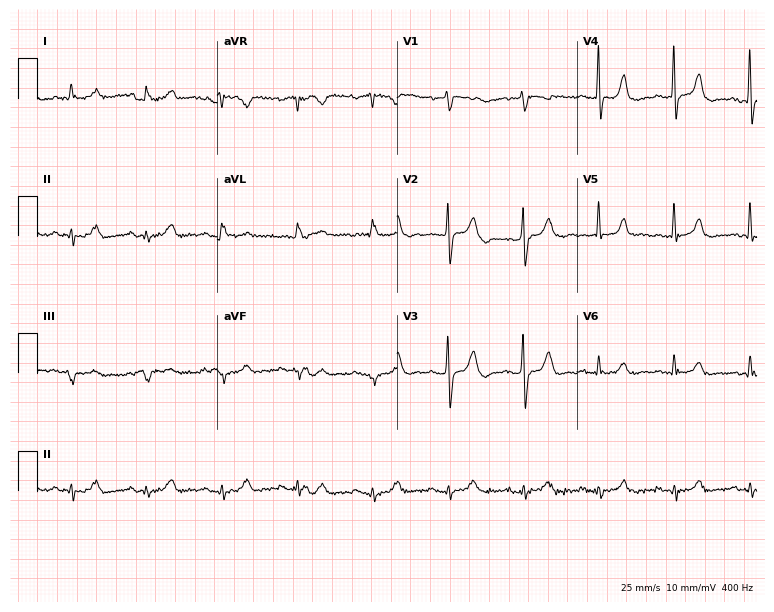
Electrocardiogram, a man, 84 years old. Of the six screened findings (first-degree AV block, right bundle branch block, left bundle branch block, sinus bradycardia, atrial fibrillation, sinus tachycardia), none is recorded. Only these six findings were labelled.